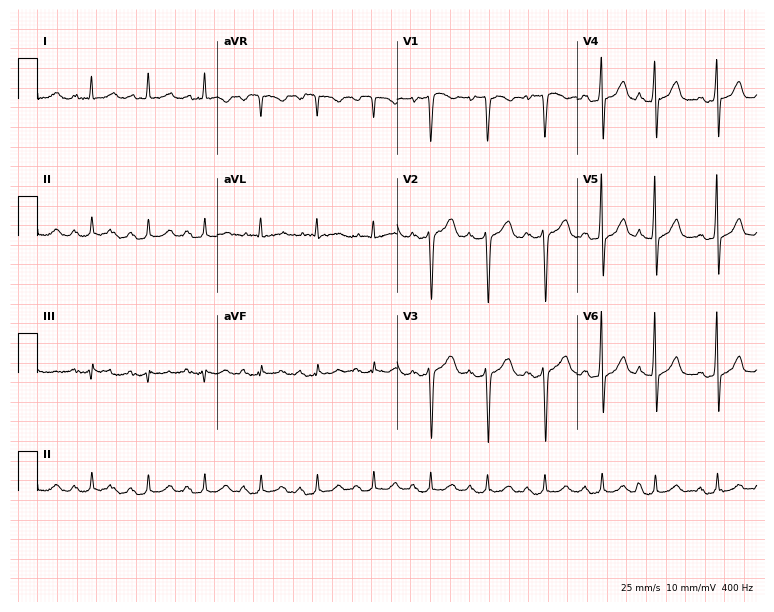
Standard 12-lead ECG recorded from a 71-year-old male (7.3-second recording at 400 Hz). The tracing shows sinus tachycardia (a sinus rate of 100 beats per minute or more).